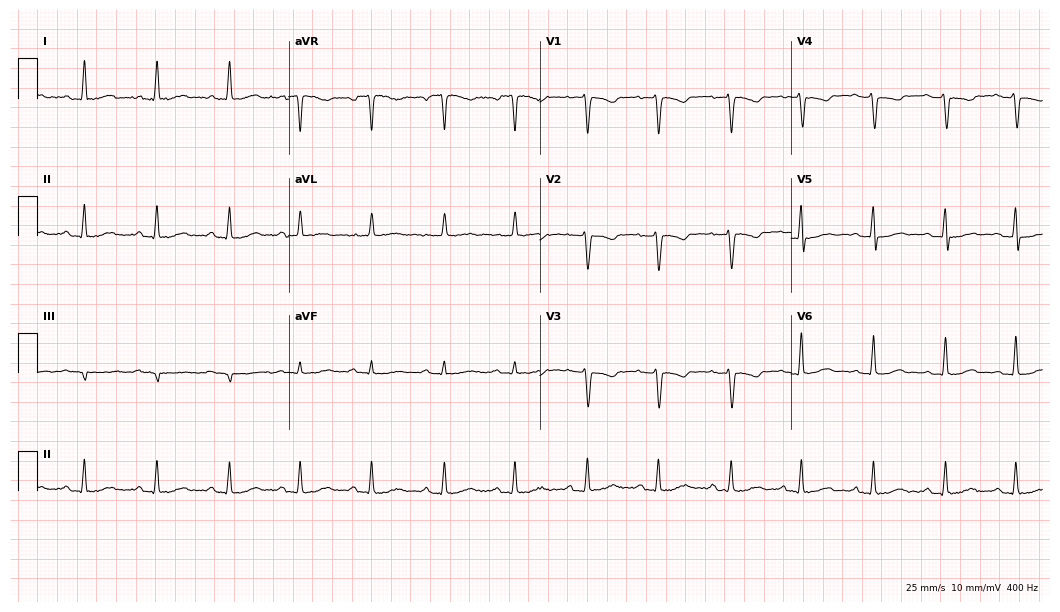
Electrocardiogram, a 57-year-old female. Of the six screened findings (first-degree AV block, right bundle branch block, left bundle branch block, sinus bradycardia, atrial fibrillation, sinus tachycardia), none is recorded. Other findings, if any, are not listed.